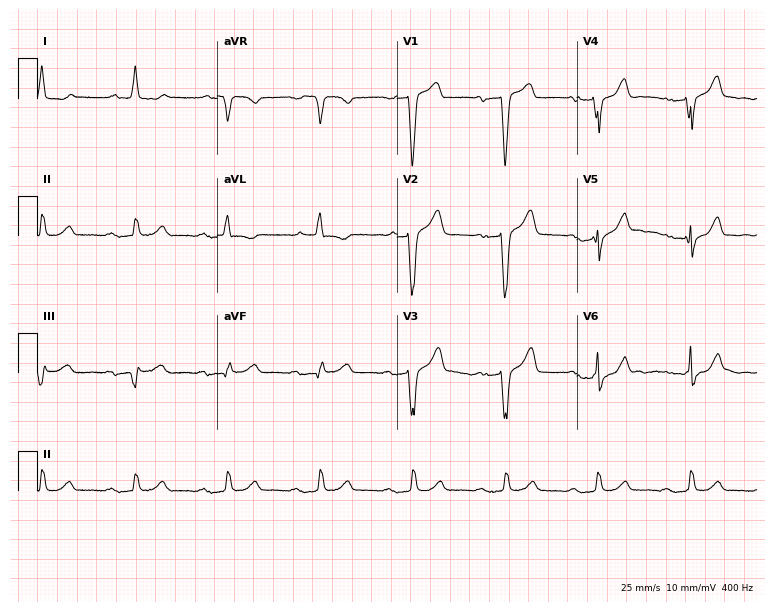
Standard 12-lead ECG recorded from a 69-year-old male. The tracing shows first-degree AV block, left bundle branch block.